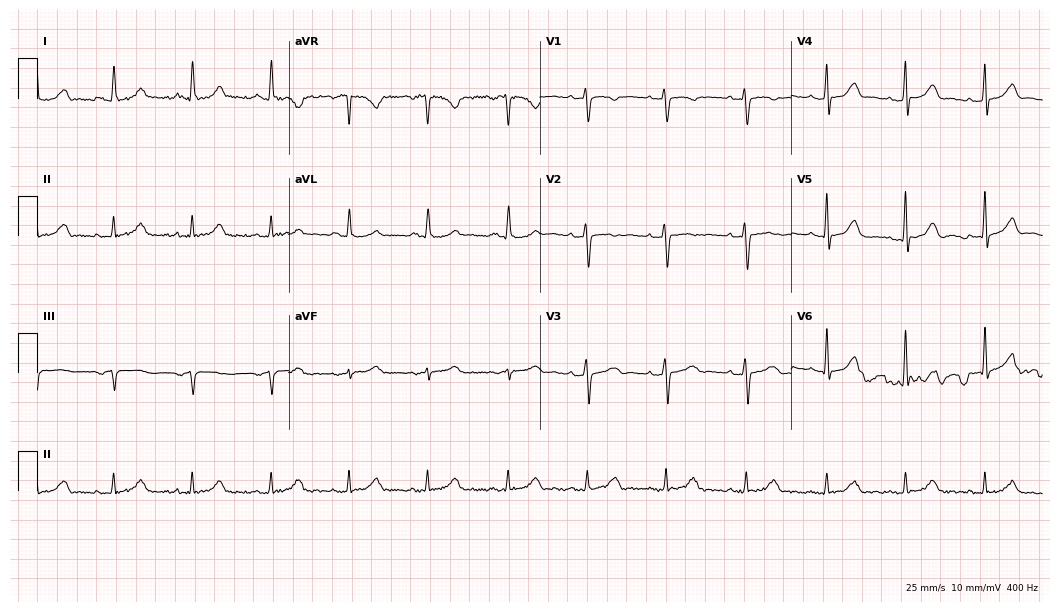
Electrocardiogram, a female, 37 years old. Overall reading on record: normal ECG.